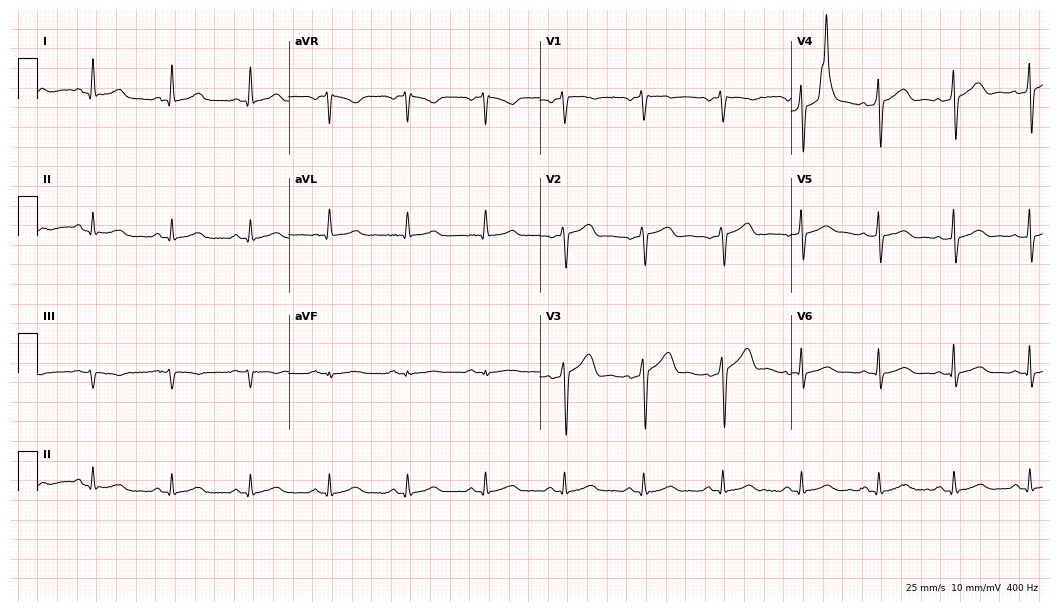
Standard 12-lead ECG recorded from a male, 60 years old. Read as a normal ECG.